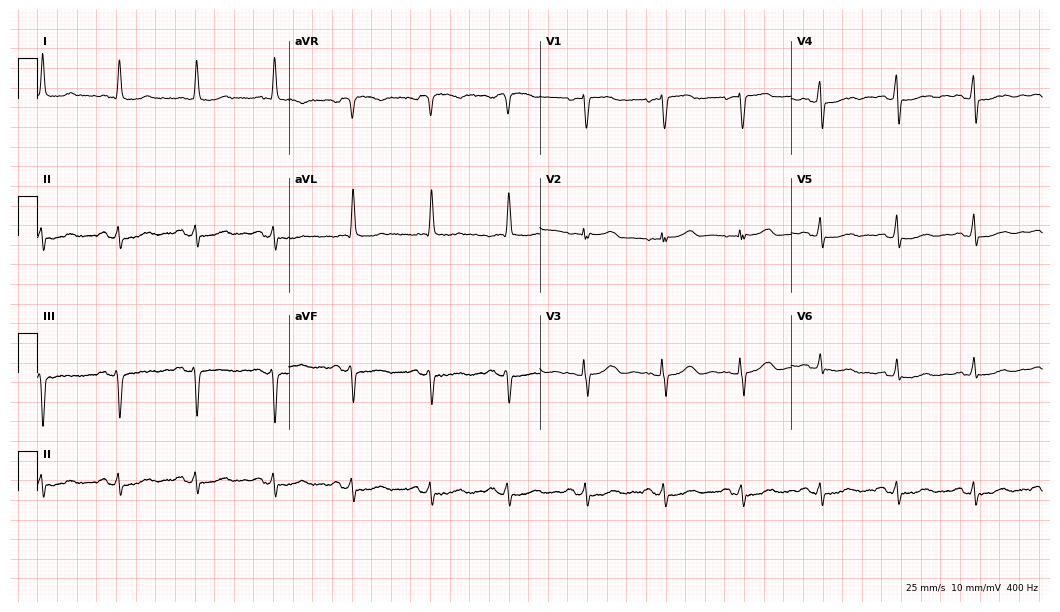
Electrocardiogram, a 78-year-old female. Of the six screened findings (first-degree AV block, right bundle branch block, left bundle branch block, sinus bradycardia, atrial fibrillation, sinus tachycardia), none is recorded.